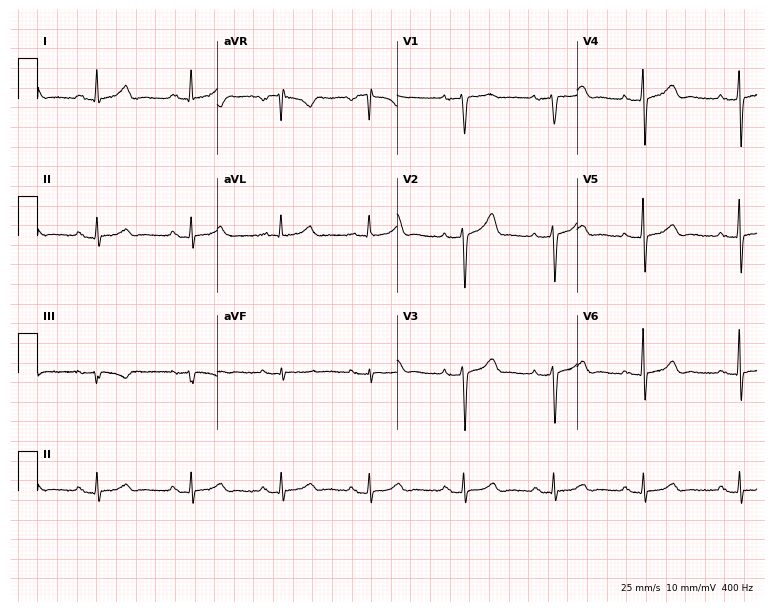
ECG (7.3-second recording at 400 Hz) — a woman, 62 years old. Labelled as a normal ECG.